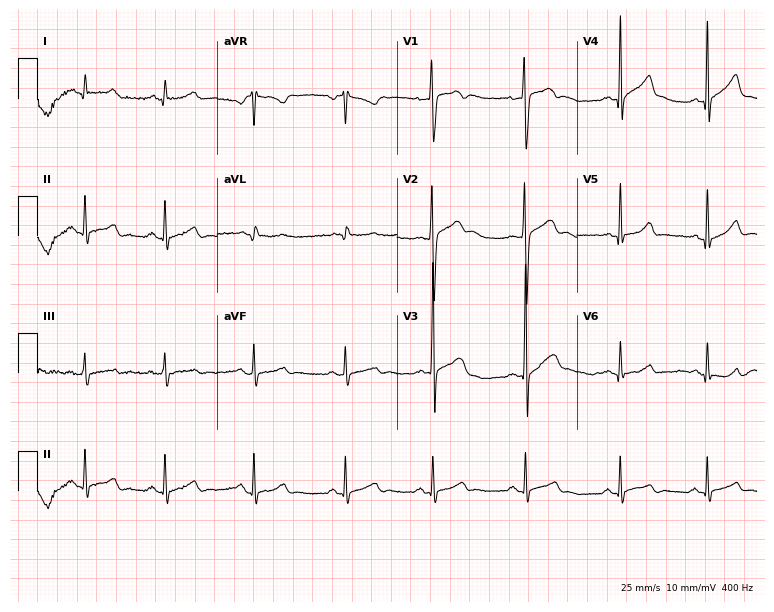
Standard 12-lead ECG recorded from a male, 17 years old. None of these six findings is recorded: first-degree AV block, right bundle branch block, left bundle branch block, sinus bradycardia, atrial fibrillation, sinus tachycardia. Other findings, if any, are not listed.